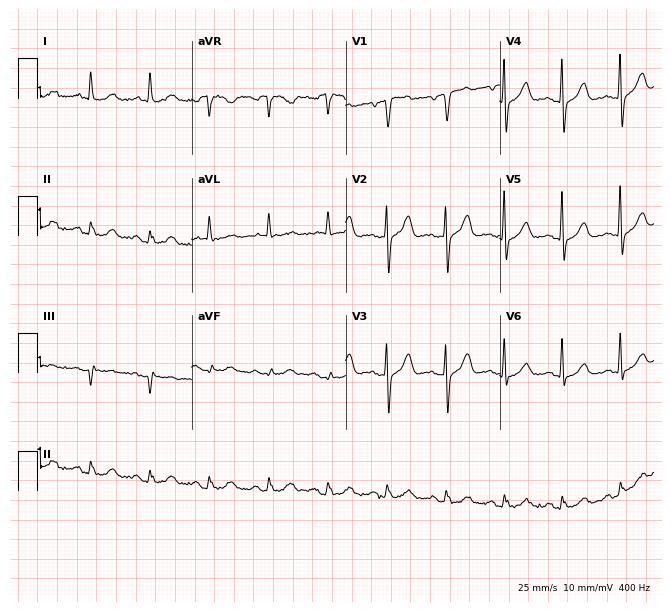
12-lead ECG from a female, 75 years old (6.3-second recording at 400 Hz). Recorded interpretation: within normal limits.